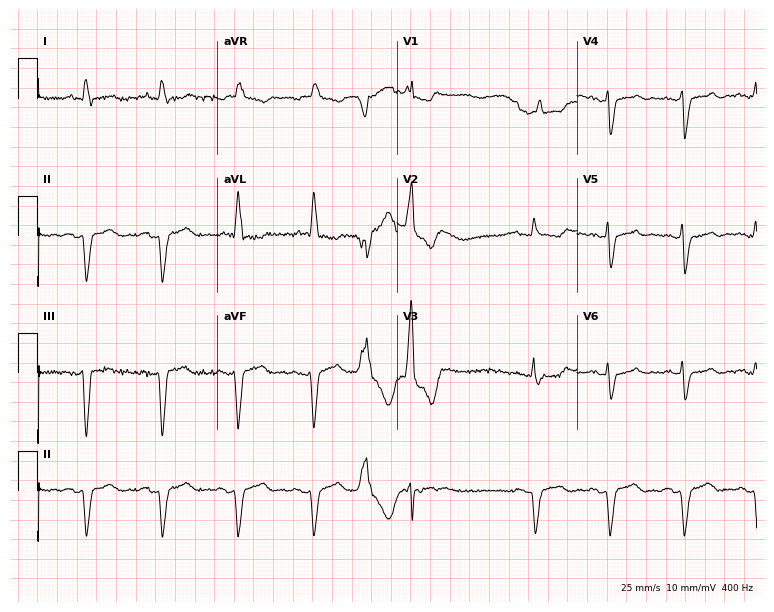
12-lead ECG from a 79-year-old male (7.3-second recording at 400 Hz). Shows right bundle branch block (RBBB).